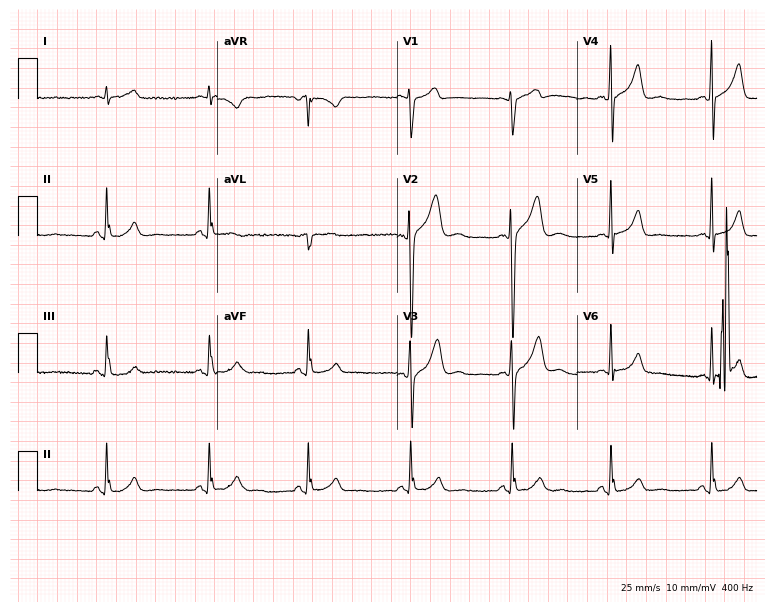
12-lead ECG (7.3-second recording at 400 Hz) from a male patient, 37 years old. Labelled as a normal ECG.